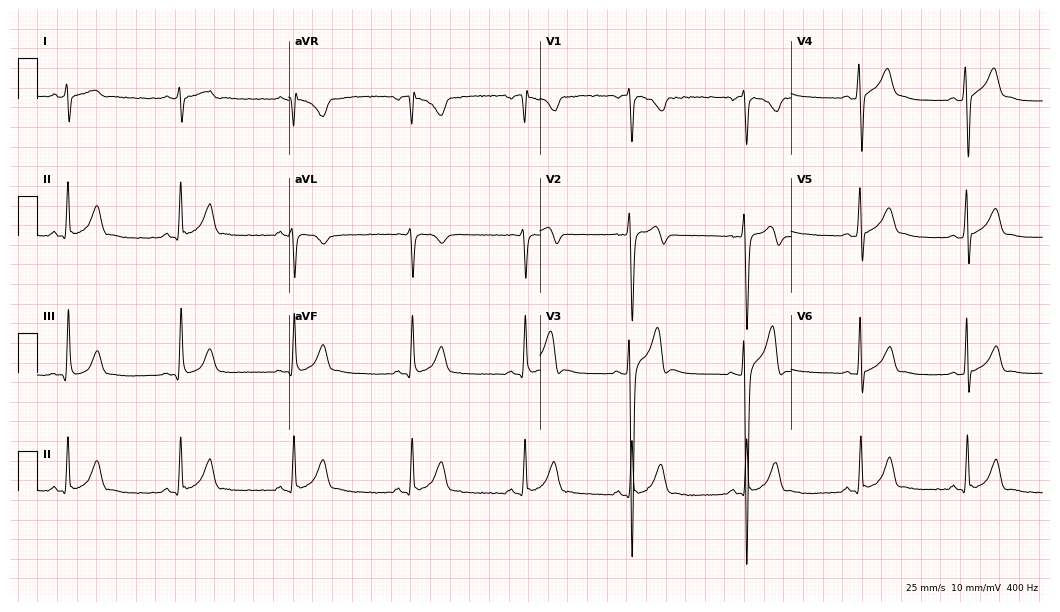
ECG — a man, 23 years old. Screened for six findings — first-degree AV block, right bundle branch block, left bundle branch block, sinus bradycardia, atrial fibrillation, sinus tachycardia — none is recorded. Only these six findings were labelled.